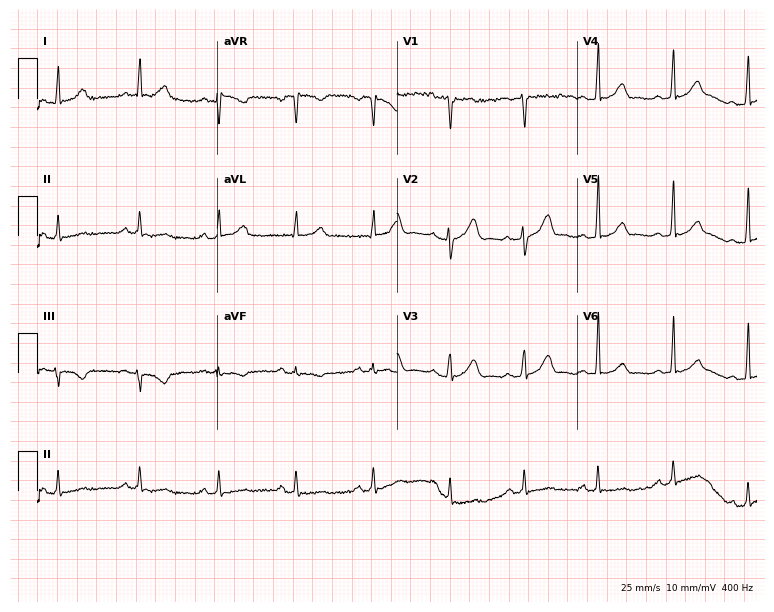
12-lead ECG from a male patient, 31 years old. No first-degree AV block, right bundle branch block, left bundle branch block, sinus bradycardia, atrial fibrillation or sinus tachycardia recorded for this tracing. Only these six findings were labelled.